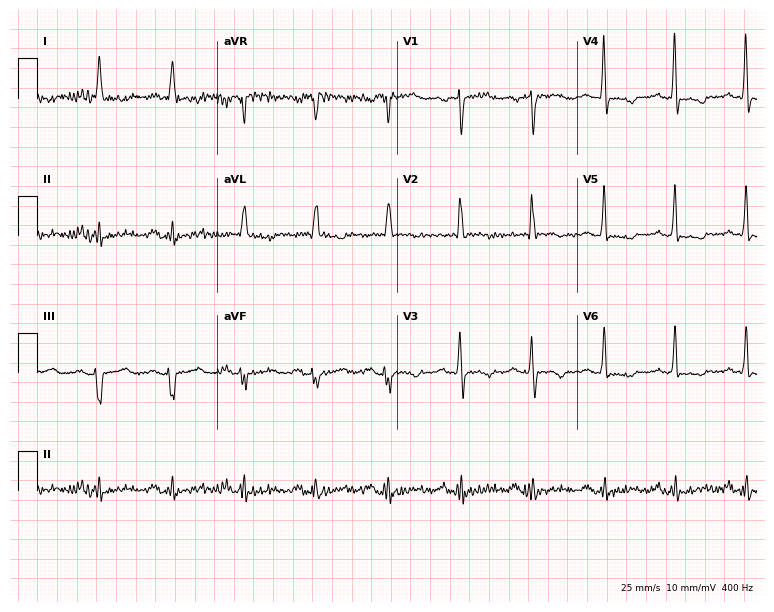
Resting 12-lead electrocardiogram (7.3-second recording at 400 Hz). Patient: a 75-year-old female. None of these six findings is recorded: first-degree AV block, right bundle branch block, left bundle branch block, sinus bradycardia, atrial fibrillation, sinus tachycardia.